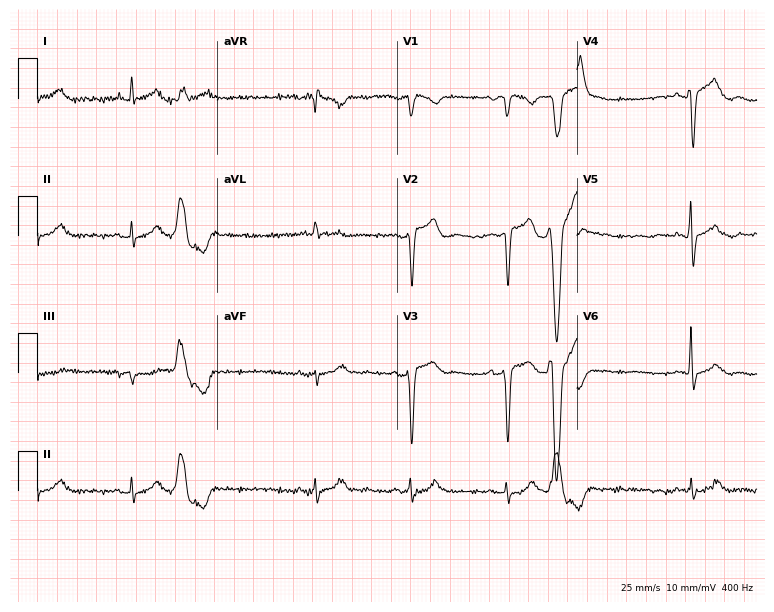
ECG (7.3-second recording at 400 Hz) — a 73-year-old man. Screened for six findings — first-degree AV block, right bundle branch block (RBBB), left bundle branch block (LBBB), sinus bradycardia, atrial fibrillation (AF), sinus tachycardia — none is recorded.